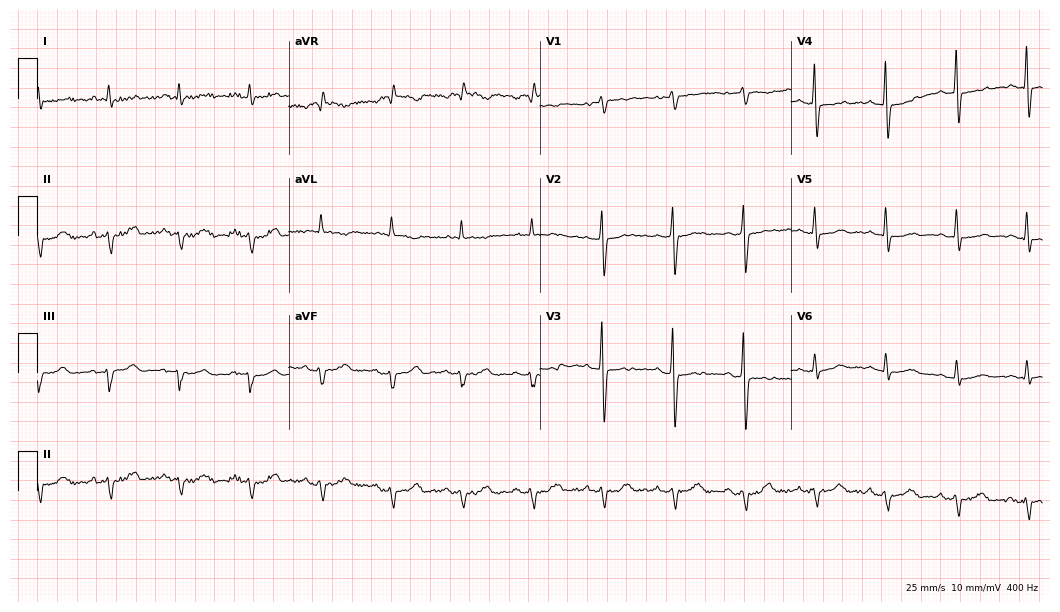
Standard 12-lead ECG recorded from a male, 85 years old (10.2-second recording at 400 Hz). None of these six findings is recorded: first-degree AV block, right bundle branch block, left bundle branch block, sinus bradycardia, atrial fibrillation, sinus tachycardia. Other findings, if any, are not listed.